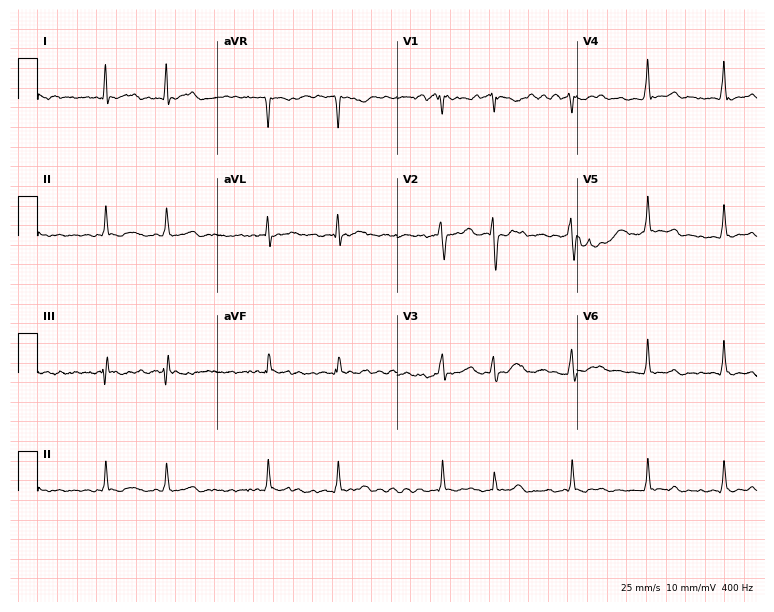
Electrocardiogram, a 50-year-old man. Interpretation includes atrial fibrillation (AF).